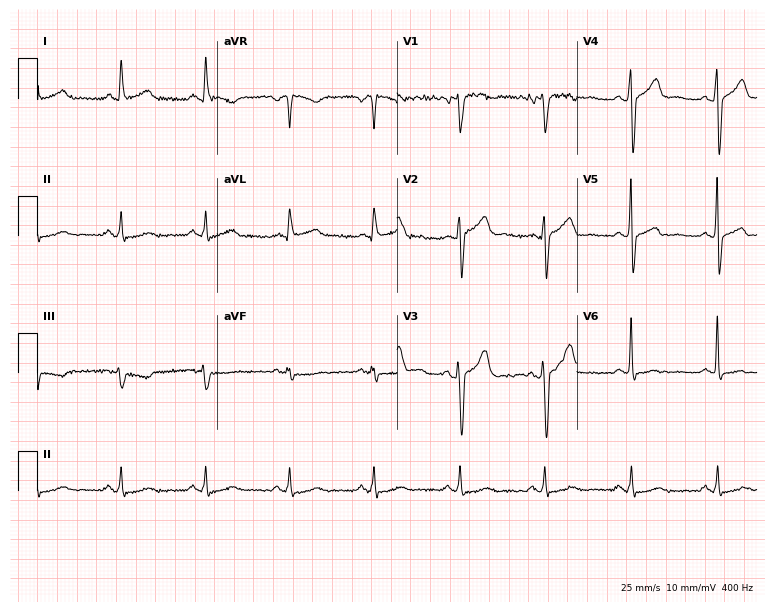
Standard 12-lead ECG recorded from a 47-year-old male patient (7.3-second recording at 400 Hz). Read as a normal ECG.